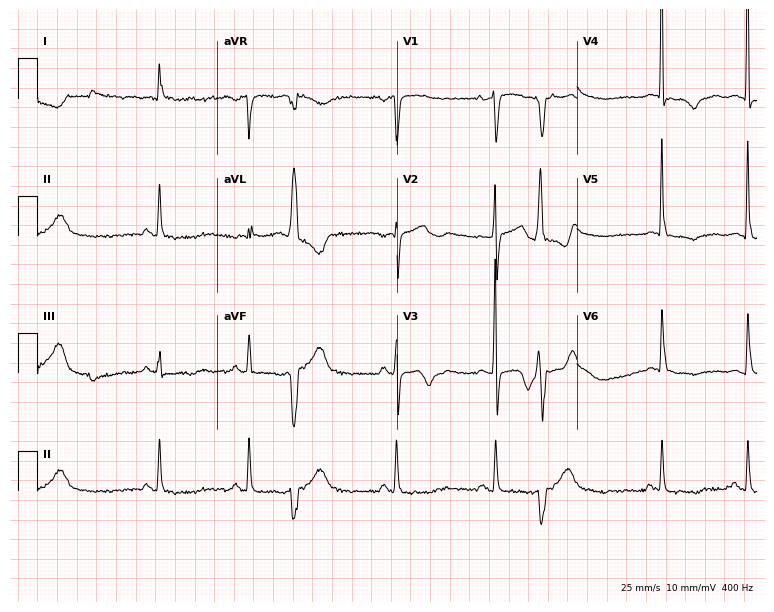
12-lead ECG from a woman, 84 years old. No first-degree AV block, right bundle branch block, left bundle branch block, sinus bradycardia, atrial fibrillation or sinus tachycardia recorded for this tracing.